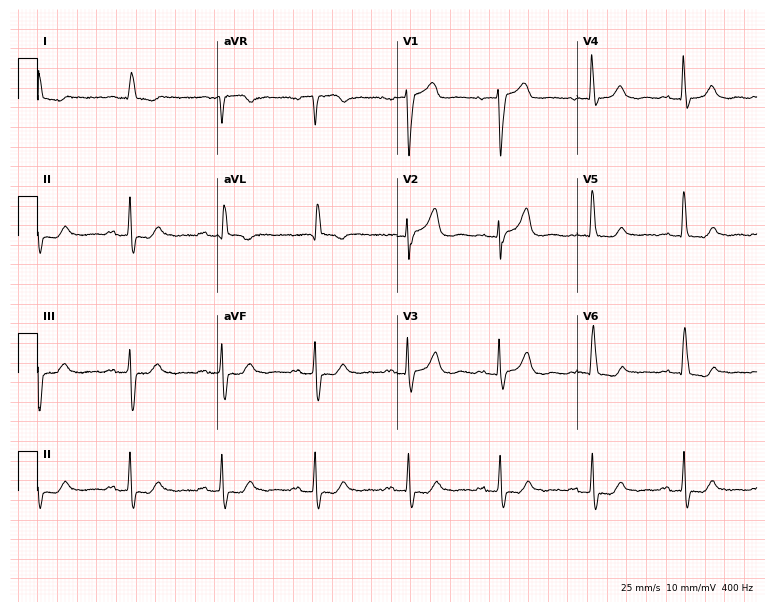
Standard 12-lead ECG recorded from an 85-year-old female patient (7.3-second recording at 400 Hz). None of these six findings is recorded: first-degree AV block, right bundle branch block, left bundle branch block, sinus bradycardia, atrial fibrillation, sinus tachycardia. Findings outside these six are not listed.